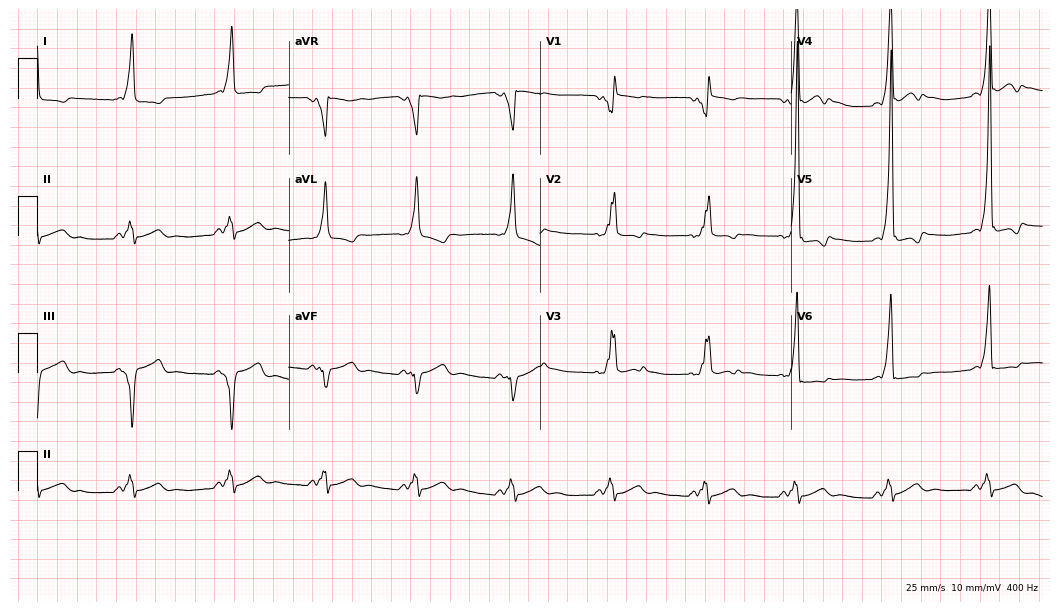
Standard 12-lead ECG recorded from a man, 27 years old. None of these six findings is recorded: first-degree AV block, right bundle branch block (RBBB), left bundle branch block (LBBB), sinus bradycardia, atrial fibrillation (AF), sinus tachycardia. Findings outside these six are not listed.